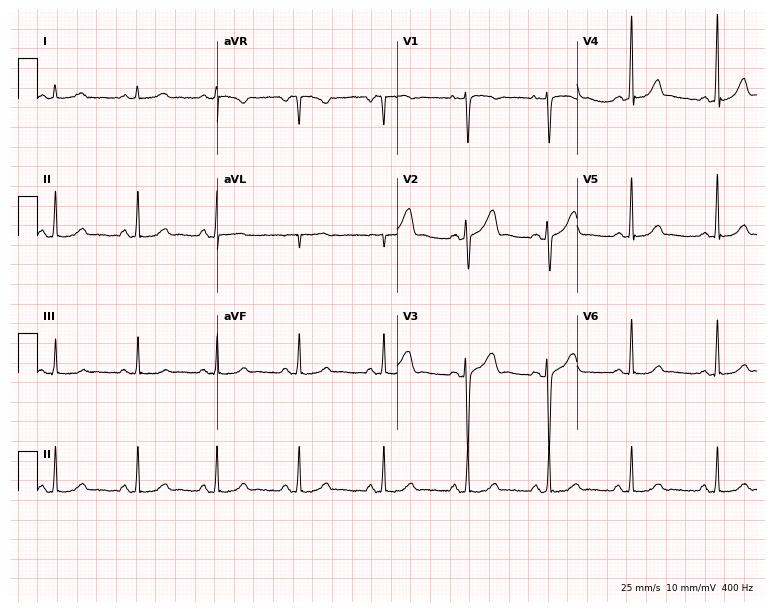
ECG (7.3-second recording at 400 Hz) — a 34-year-old woman. Labelled as a normal ECG.